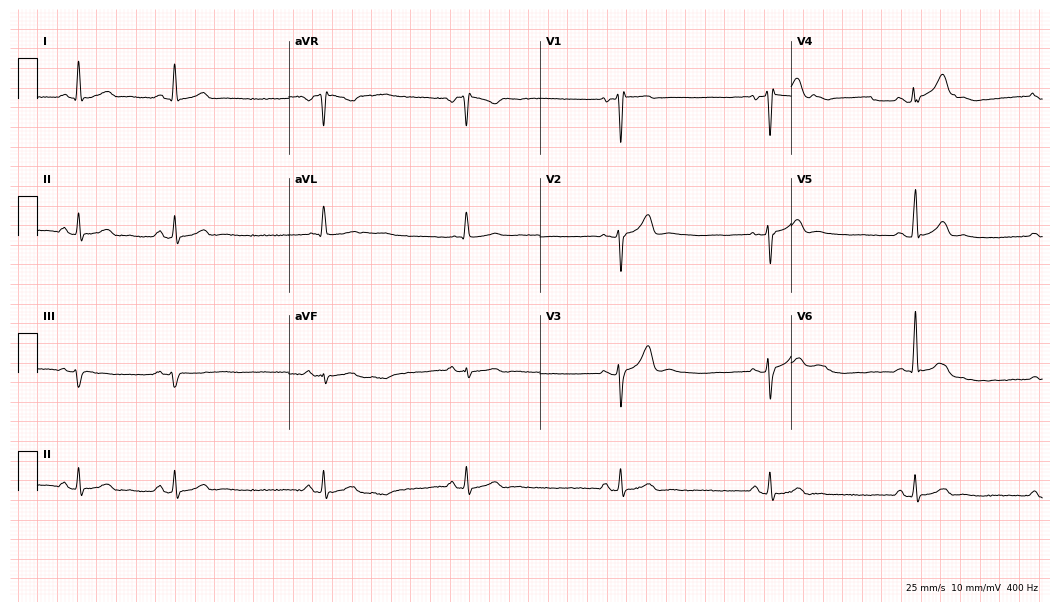
Standard 12-lead ECG recorded from a male patient, 26 years old (10.2-second recording at 400 Hz). The tracing shows sinus bradycardia (a sinus rate of 50 beats per minute or less).